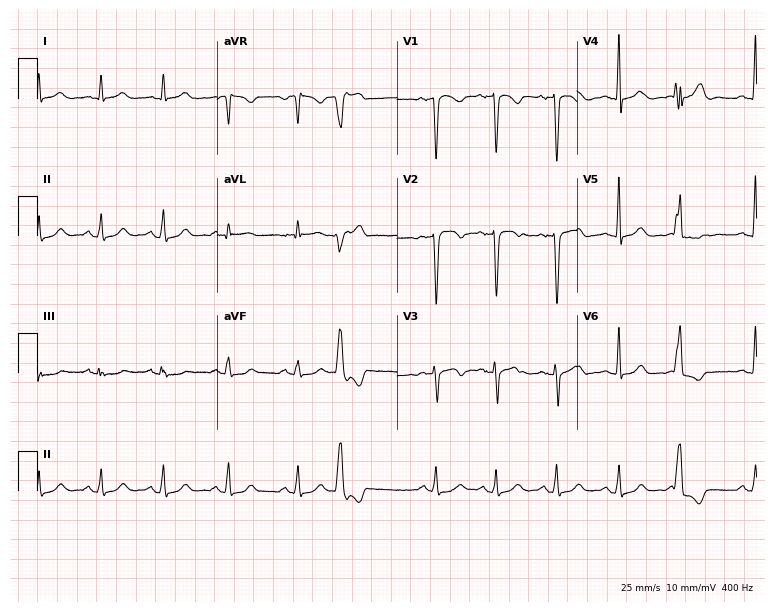
Standard 12-lead ECG recorded from a woman, 27 years old (7.3-second recording at 400 Hz). None of these six findings is recorded: first-degree AV block, right bundle branch block, left bundle branch block, sinus bradycardia, atrial fibrillation, sinus tachycardia.